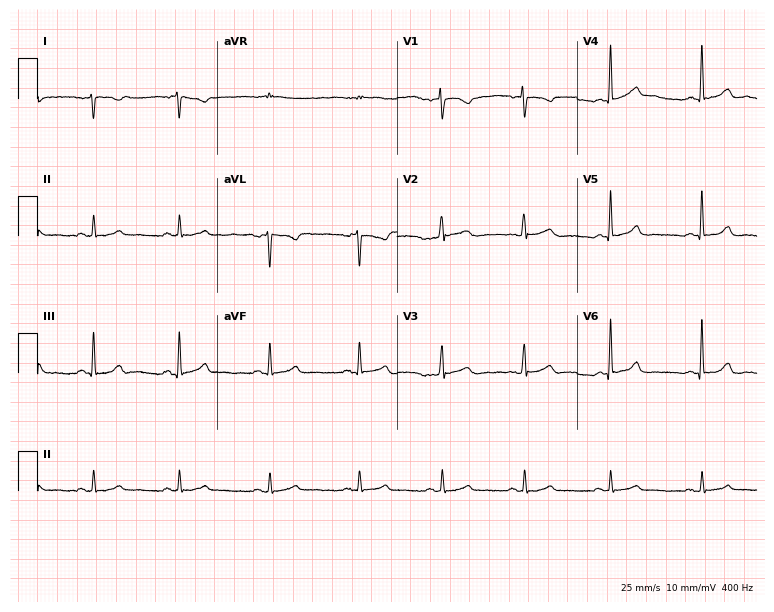
12-lead ECG from a 46-year-old female (7.3-second recording at 400 Hz). No first-degree AV block, right bundle branch block, left bundle branch block, sinus bradycardia, atrial fibrillation or sinus tachycardia recorded for this tracing. Findings outside these six are not listed.